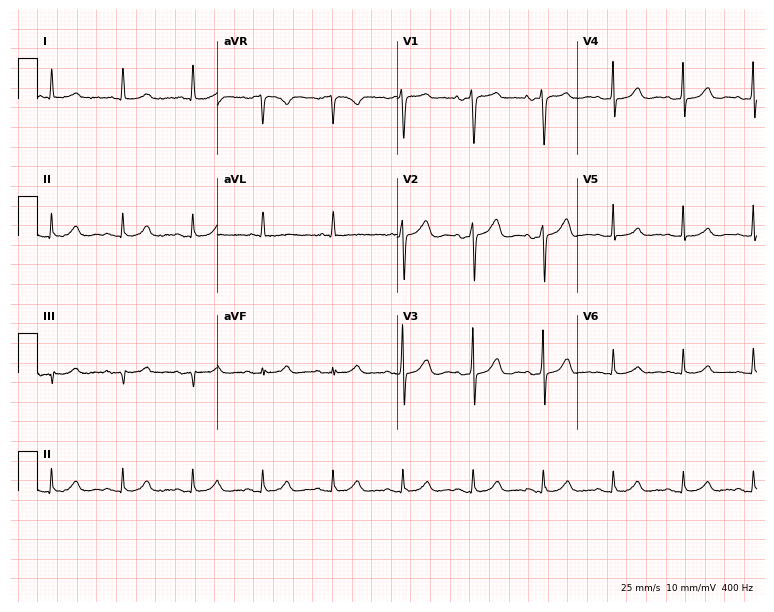
ECG (7.3-second recording at 400 Hz) — a woman, 67 years old. Labelled as a normal ECG.